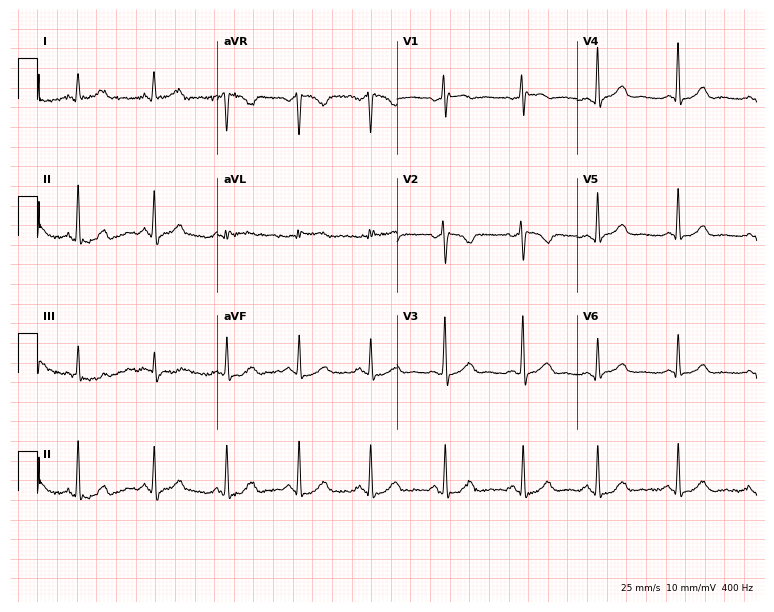
ECG — a female, 38 years old. Labelled as a normal ECG.